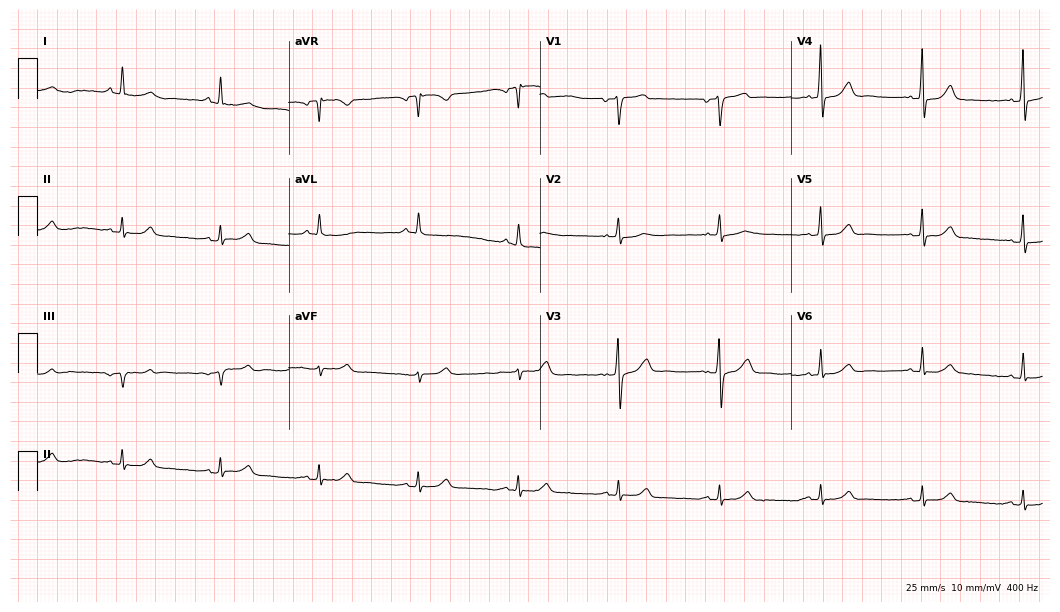
12-lead ECG from a 67-year-old man. No first-degree AV block, right bundle branch block (RBBB), left bundle branch block (LBBB), sinus bradycardia, atrial fibrillation (AF) or sinus tachycardia recorded for this tracing.